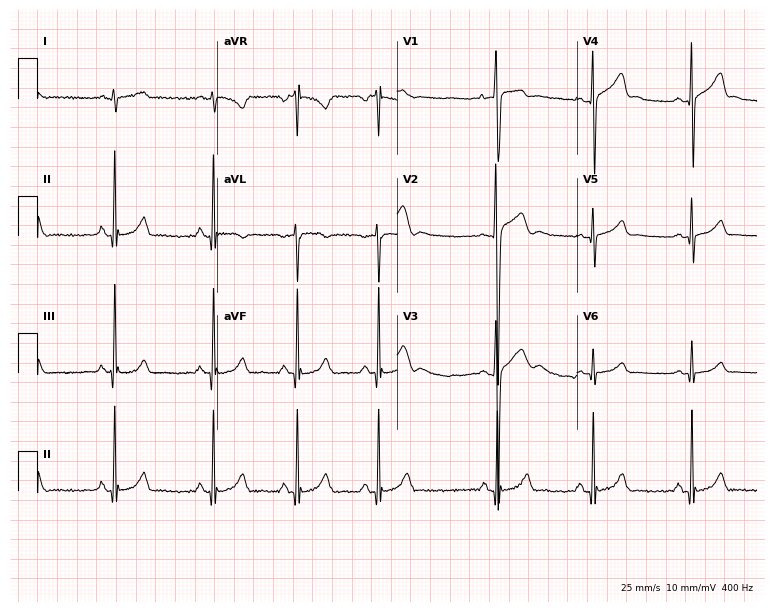
12-lead ECG from a 19-year-old male (7.3-second recording at 400 Hz). No first-degree AV block, right bundle branch block, left bundle branch block, sinus bradycardia, atrial fibrillation or sinus tachycardia recorded for this tracing.